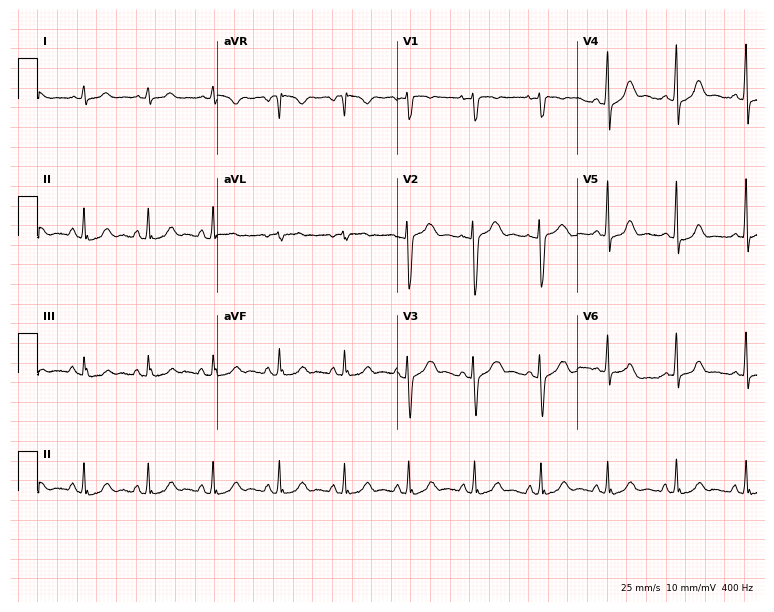
Electrocardiogram, a female, 22 years old. Of the six screened findings (first-degree AV block, right bundle branch block, left bundle branch block, sinus bradycardia, atrial fibrillation, sinus tachycardia), none is recorded. Findings outside these six are not listed.